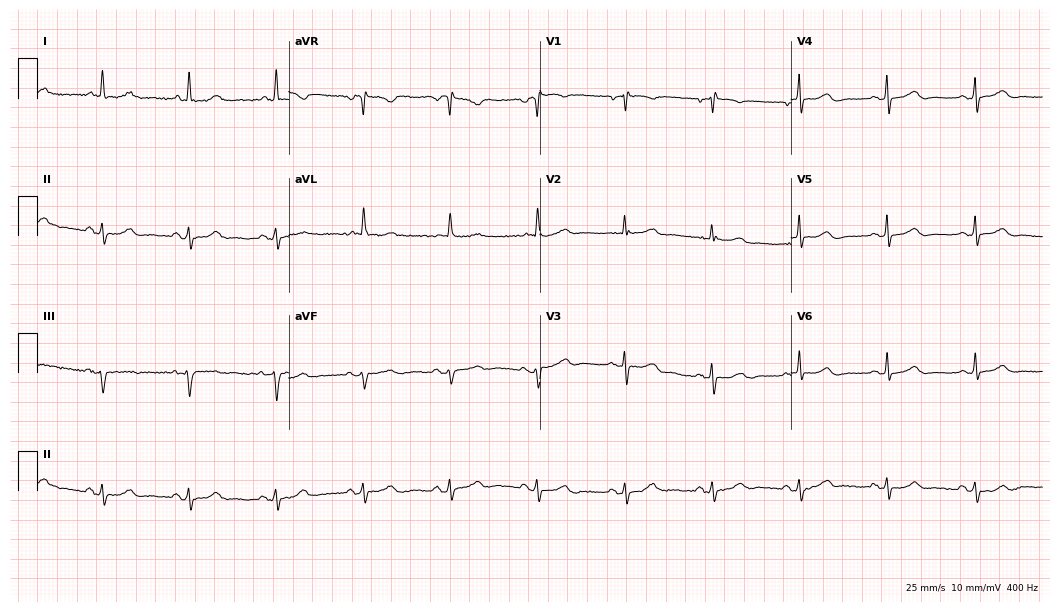
12-lead ECG from an 82-year-old woman. Labelled as a normal ECG.